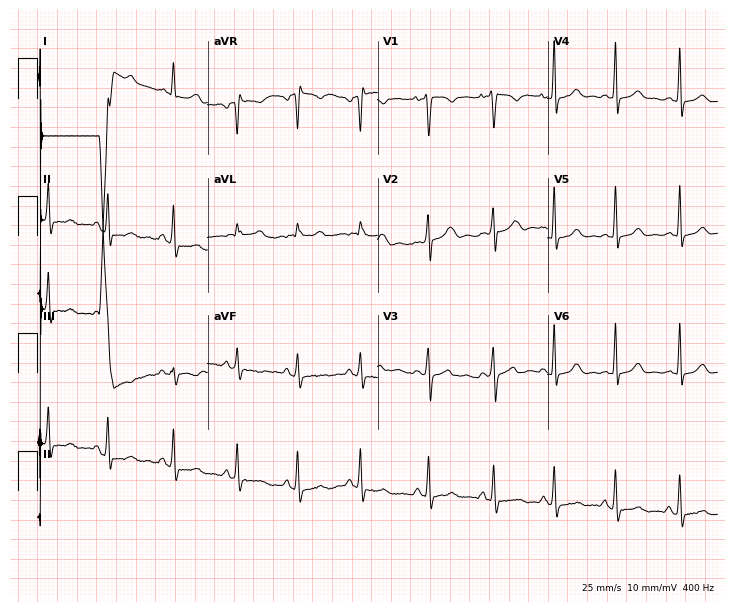
ECG (6.9-second recording at 400 Hz) — an 18-year-old female patient. Screened for six findings — first-degree AV block, right bundle branch block (RBBB), left bundle branch block (LBBB), sinus bradycardia, atrial fibrillation (AF), sinus tachycardia — none is recorded.